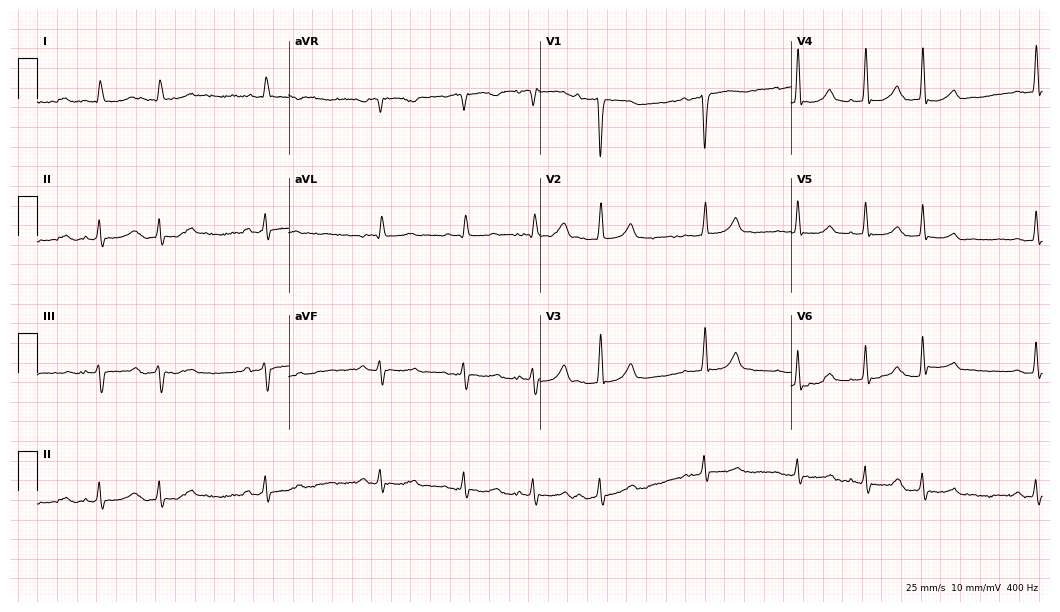
Standard 12-lead ECG recorded from a woman, 80 years old. None of these six findings is recorded: first-degree AV block, right bundle branch block (RBBB), left bundle branch block (LBBB), sinus bradycardia, atrial fibrillation (AF), sinus tachycardia. Other findings, if any, are not listed.